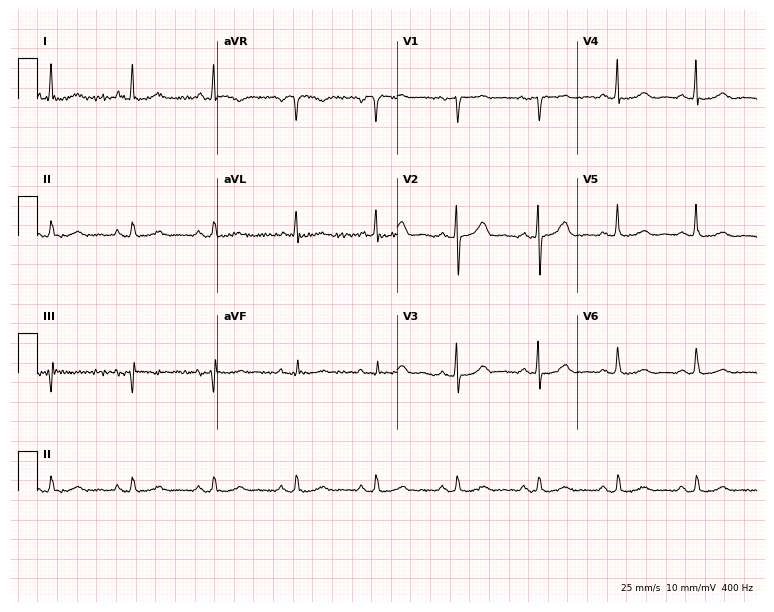
12-lead ECG from a 53-year-old female patient. Recorded interpretation: within normal limits.